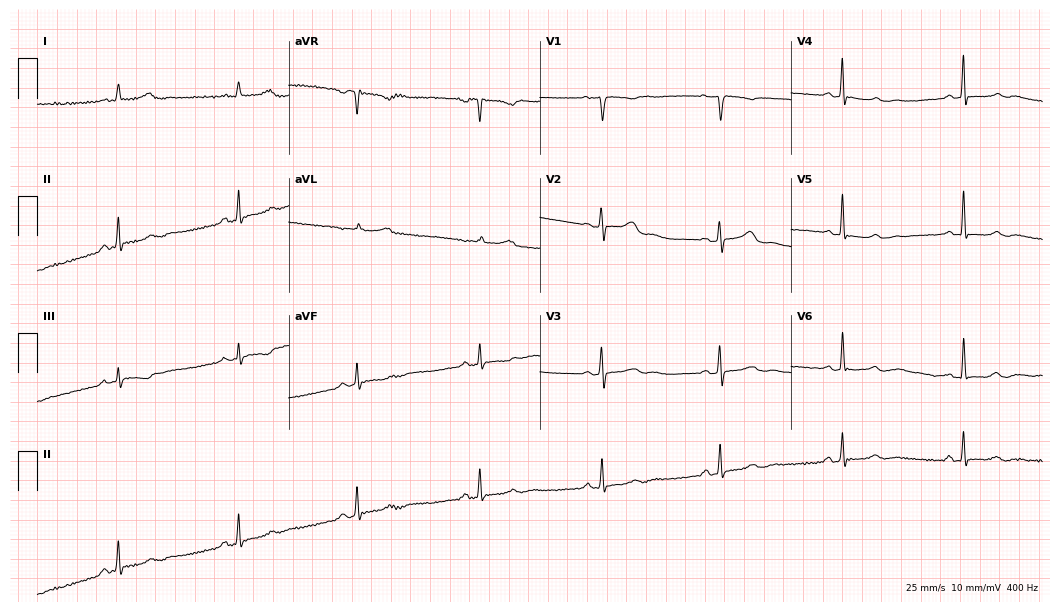
Standard 12-lead ECG recorded from a female, 42 years old (10.2-second recording at 400 Hz). None of these six findings is recorded: first-degree AV block, right bundle branch block, left bundle branch block, sinus bradycardia, atrial fibrillation, sinus tachycardia. Findings outside these six are not listed.